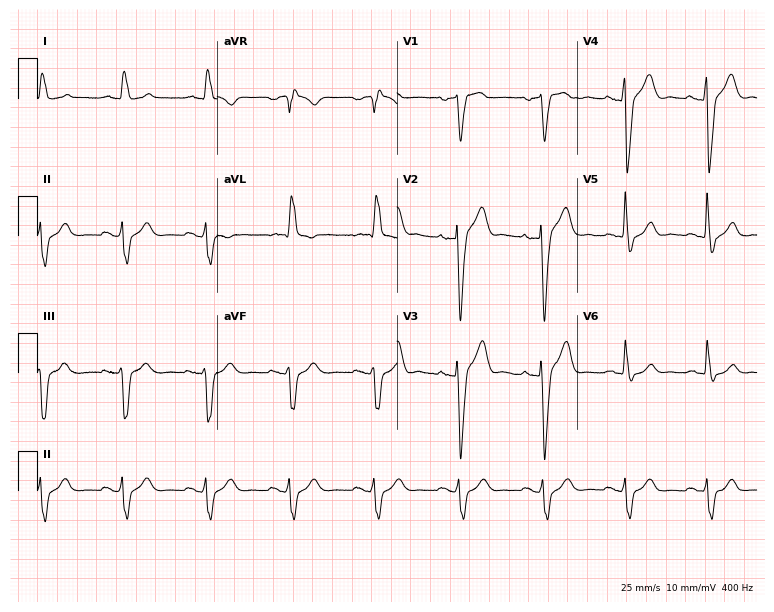
Standard 12-lead ECG recorded from a male, 69 years old (7.3-second recording at 400 Hz). The tracing shows left bundle branch block.